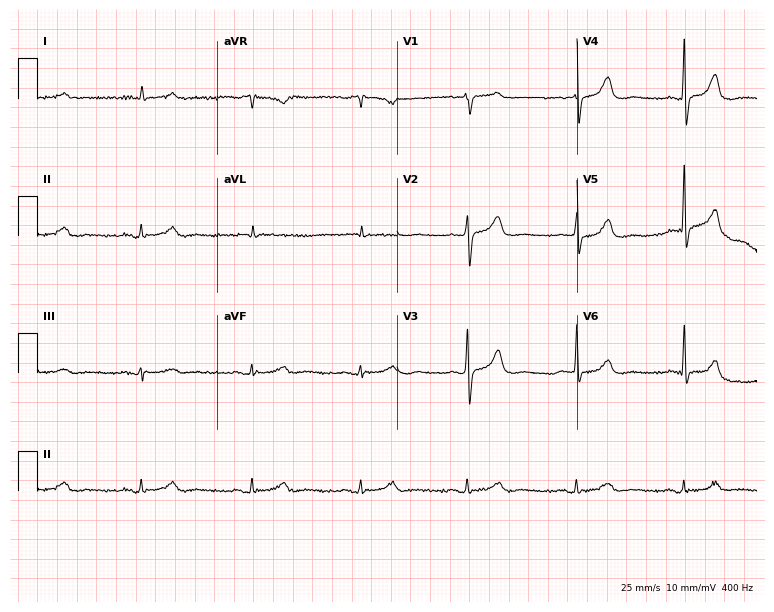
12-lead ECG from a man, 78 years old. No first-degree AV block, right bundle branch block (RBBB), left bundle branch block (LBBB), sinus bradycardia, atrial fibrillation (AF) or sinus tachycardia recorded for this tracing.